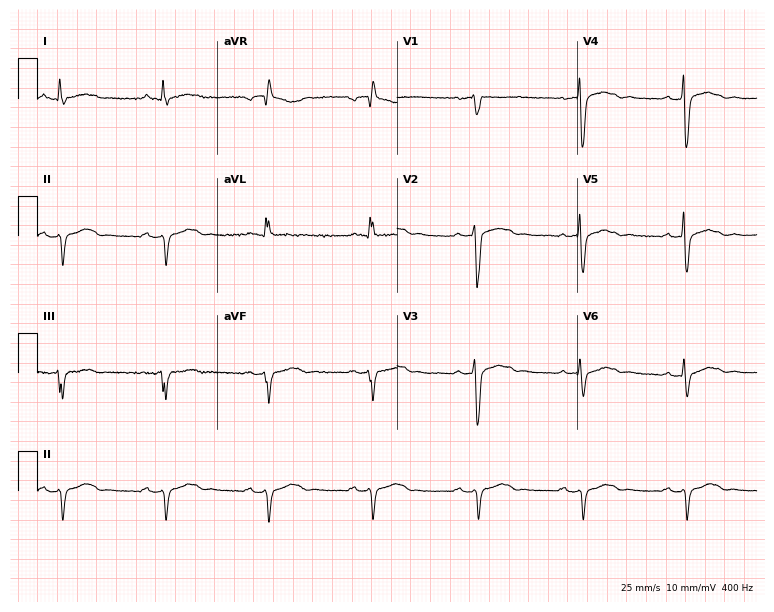
12-lead ECG (7.3-second recording at 400 Hz) from a 67-year-old male patient. Screened for six findings — first-degree AV block, right bundle branch block, left bundle branch block, sinus bradycardia, atrial fibrillation, sinus tachycardia — none is recorded.